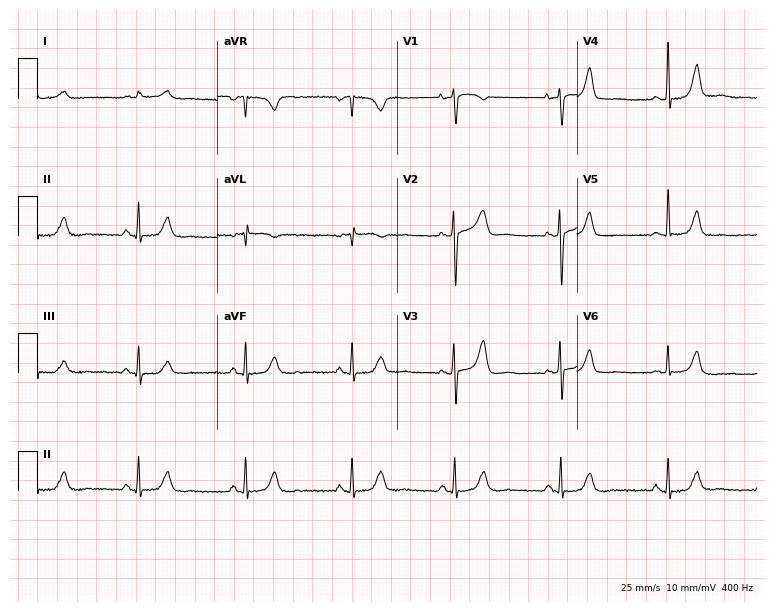
Electrocardiogram (7.3-second recording at 400 Hz), a woman, 77 years old. Overall reading on record: normal ECG.